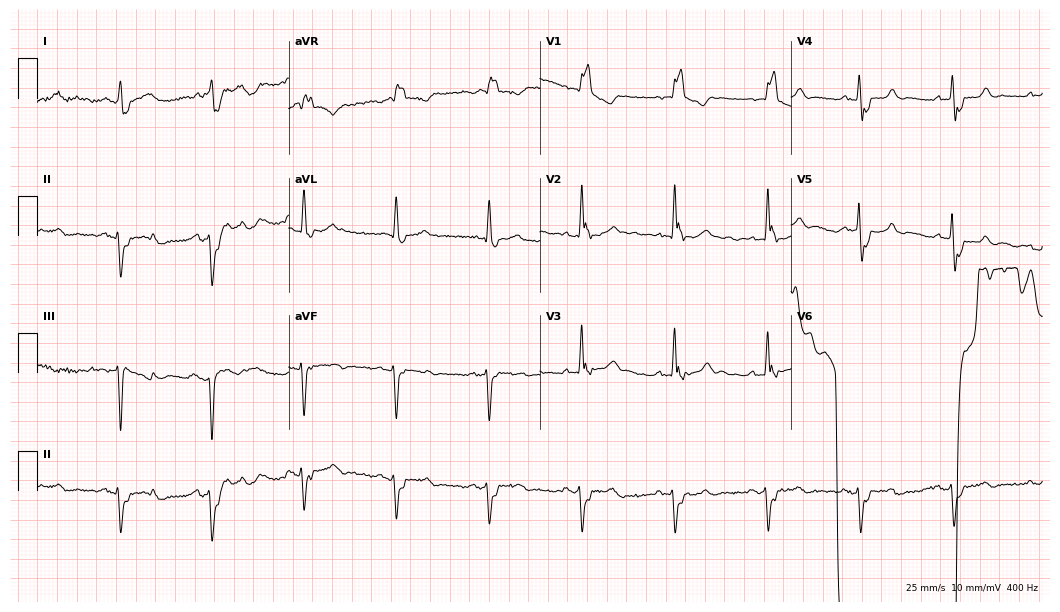
Resting 12-lead electrocardiogram (10.2-second recording at 400 Hz). Patient: a 74-year-old male. The tracing shows right bundle branch block.